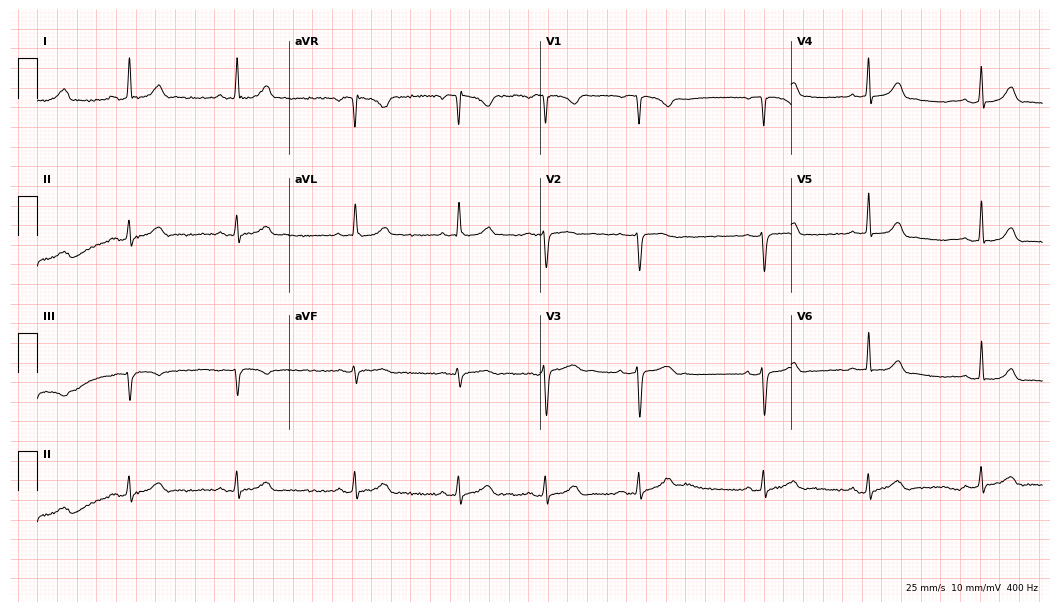
12-lead ECG from a woman, 19 years old (10.2-second recording at 400 Hz). Recorded interpretation: within normal limits.